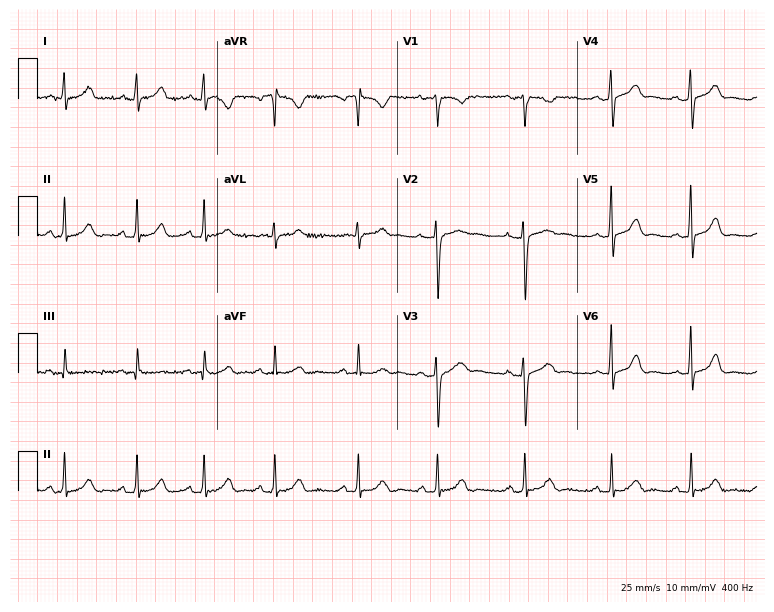
Resting 12-lead electrocardiogram (7.3-second recording at 400 Hz). Patient: a 24-year-old female. Read as a normal ECG.